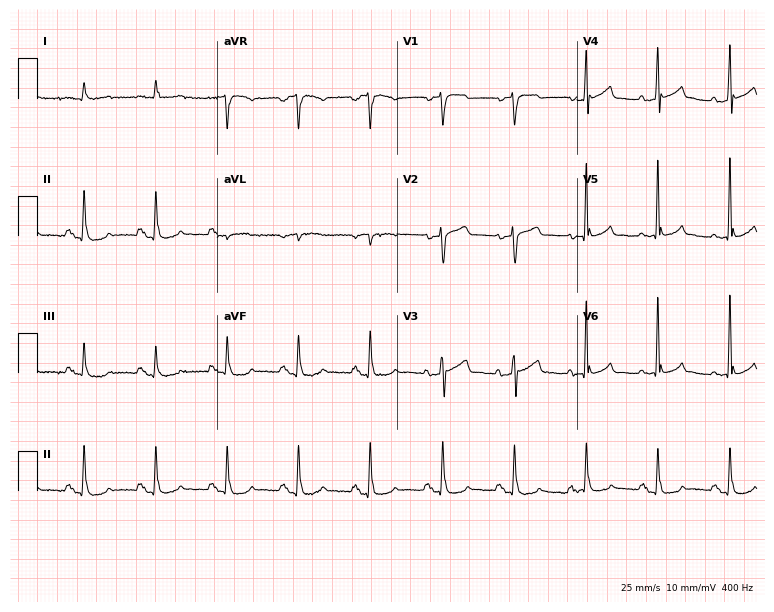
Resting 12-lead electrocardiogram. Patient: a 66-year-old man. Read as a normal ECG.